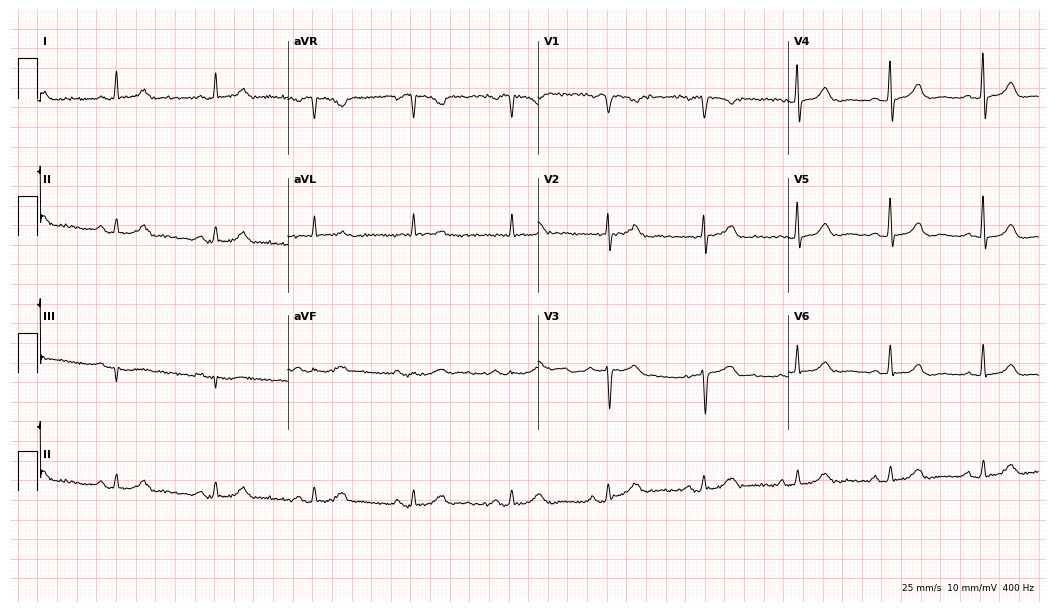
Standard 12-lead ECG recorded from a female, 66 years old. None of these six findings is recorded: first-degree AV block, right bundle branch block, left bundle branch block, sinus bradycardia, atrial fibrillation, sinus tachycardia.